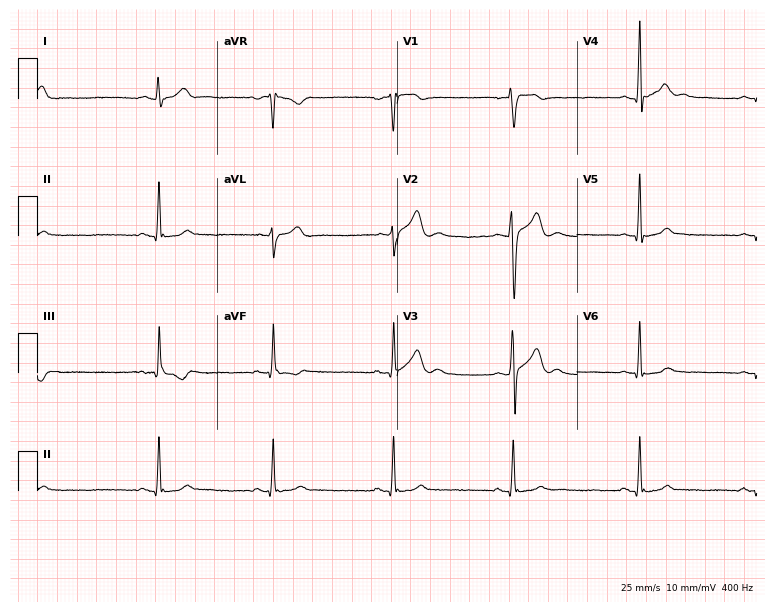
Standard 12-lead ECG recorded from a male patient, 20 years old (7.3-second recording at 400 Hz). Read as a normal ECG.